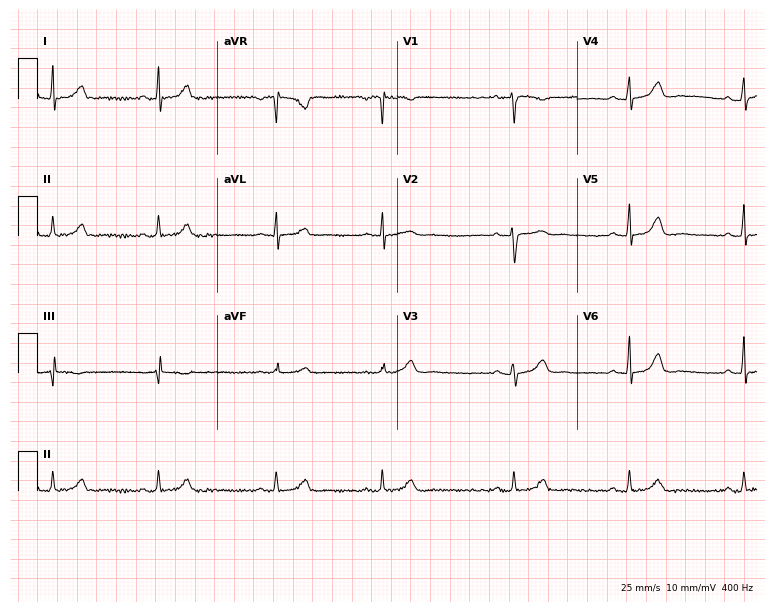
Electrocardiogram (7.3-second recording at 400 Hz), a 40-year-old female patient. Overall reading on record: normal ECG.